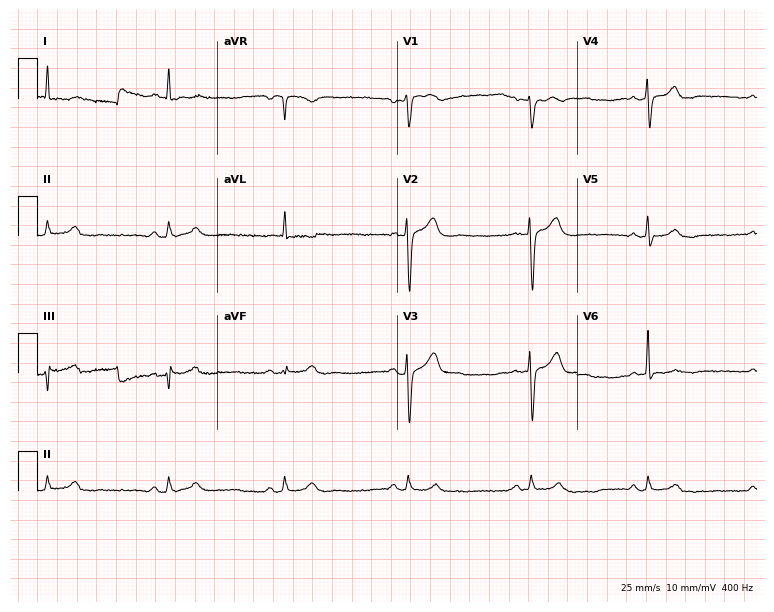
Resting 12-lead electrocardiogram (7.3-second recording at 400 Hz). Patient: a man, 70 years old. Read as a normal ECG.